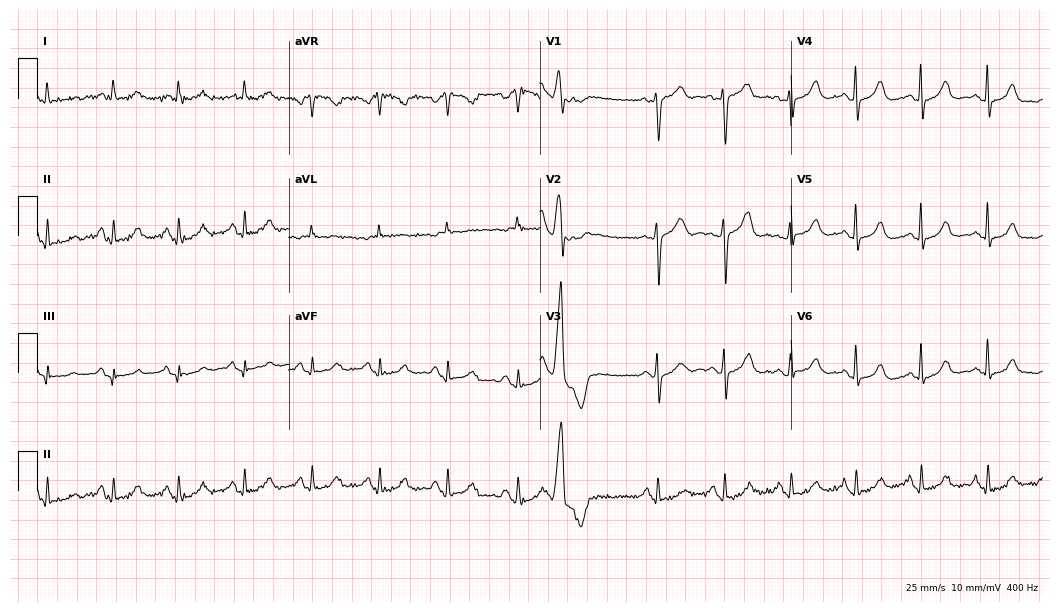
ECG — a 47-year-old woman. Screened for six findings — first-degree AV block, right bundle branch block, left bundle branch block, sinus bradycardia, atrial fibrillation, sinus tachycardia — none is recorded. Other findings, if any, are not listed.